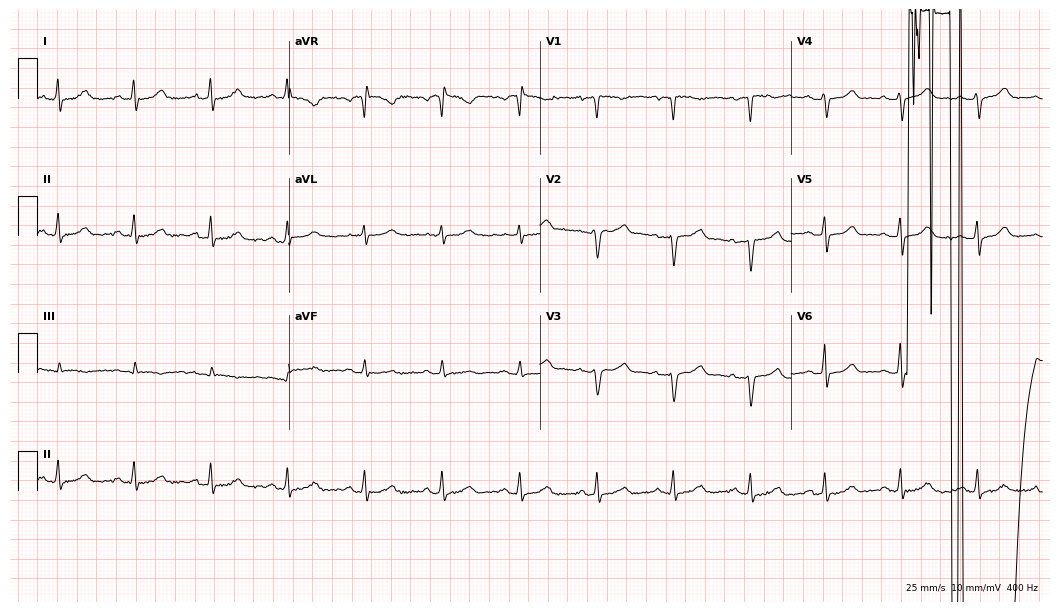
ECG — a 46-year-old female. Screened for six findings — first-degree AV block, right bundle branch block (RBBB), left bundle branch block (LBBB), sinus bradycardia, atrial fibrillation (AF), sinus tachycardia — none is recorded.